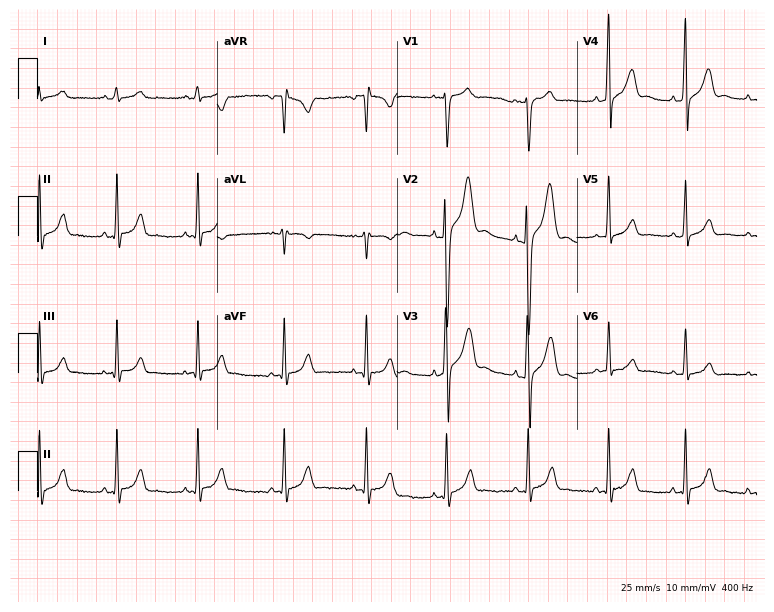
Resting 12-lead electrocardiogram (7.3-second recording at 400 Hz). Patient: a 22-year-old man. None of these six findings is recorded: first-degree AV block, right bundle branch block, left bundle branch block, sinus bradycardia, atrial fibrillation, sinus tachycardia.